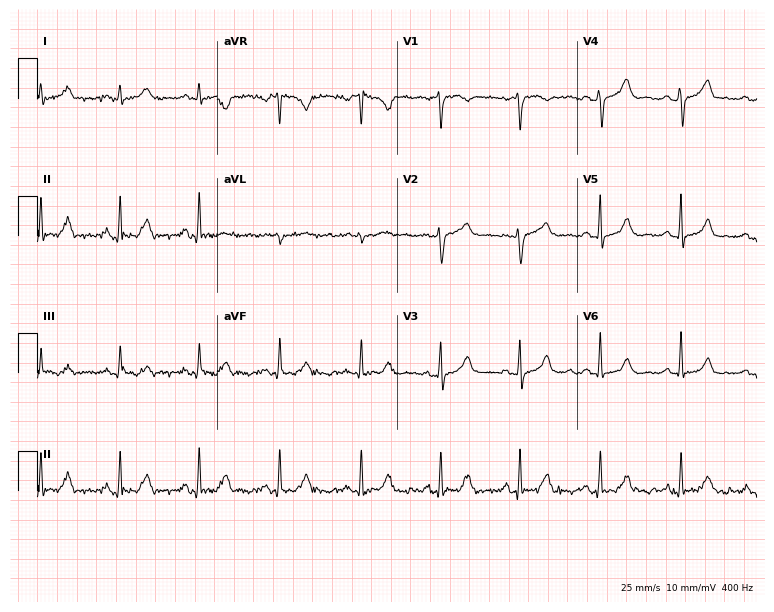
12-lead ECG from a woman, 62 years old. Screened for six findings — first-degree AV block, right bundle branch block, left bundle branch block, sinus bradycardia, atrial fibrillation, sinus tachycardia — none is recorded. Only these six findings were labelled.